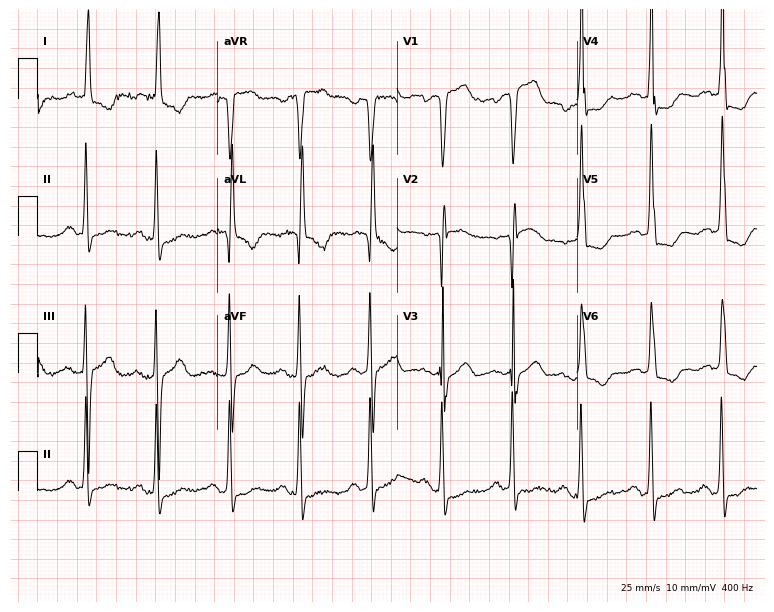
Electrocardiogram (7.3-second recording at 400 Hz), a female patient, 74 years old. Of the six screened findings (first-degree AV block, right bundle branch block, left bundle branch block, sinus bradycardia, atrial fibrillation, sinus tachycardia), none is recorded. Other findings, if any, are not listed.